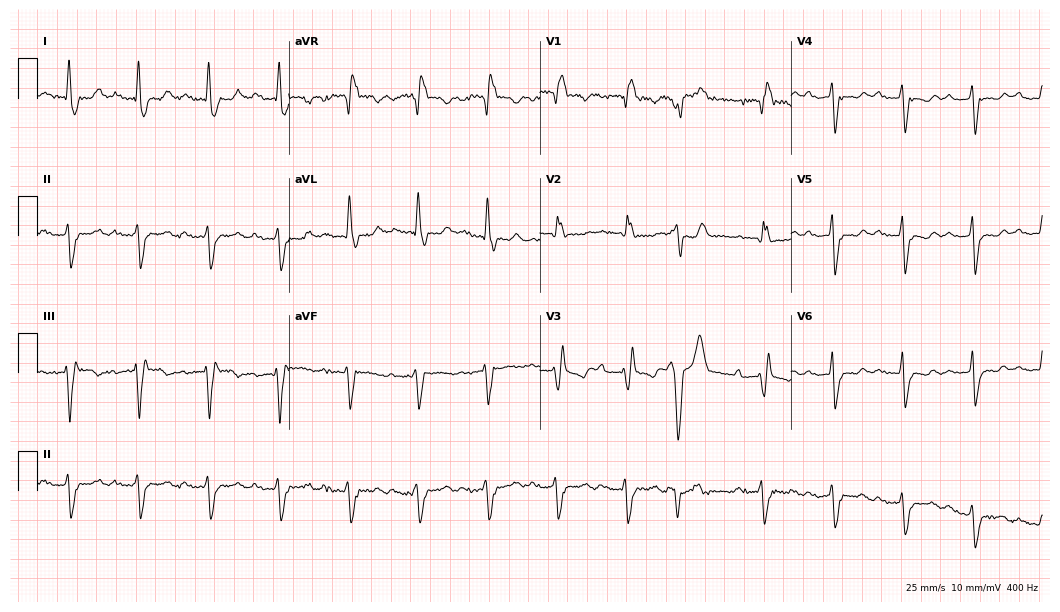
12-lead ECG (10.2-second recording at 400 Hz) from a 63-year-old female. Findings include first-degree AV block, right bundle branch block.